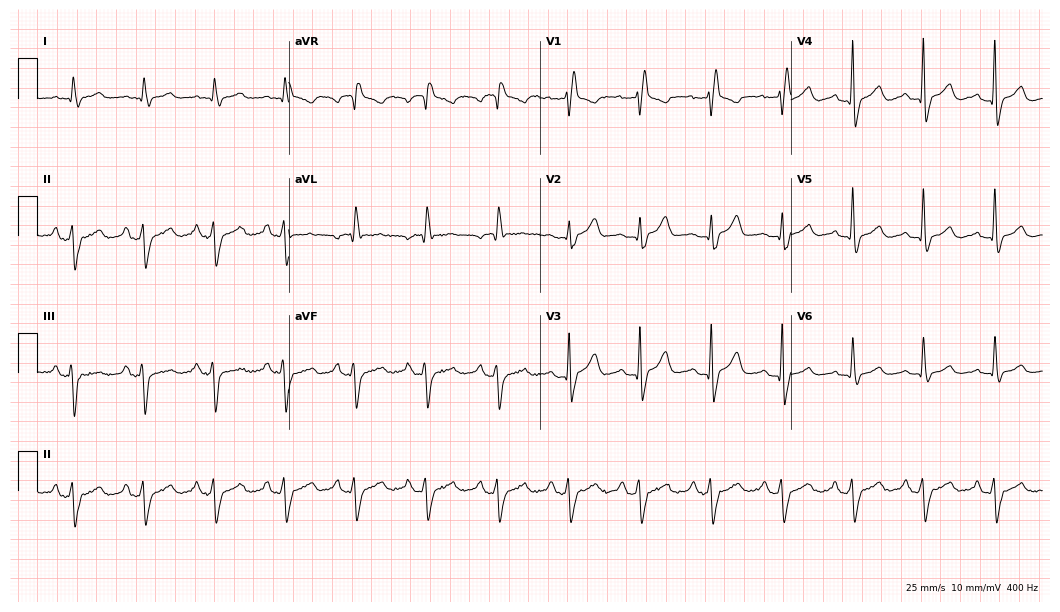
Electrocardiogram (10.2-second recording at 400 Hz), a male patient, 66 years old. Of the six screened findings (first-degree AV block, right bundle branch block (RBBB), left bundle branch block (LBBB), sinus bradycardia, atrial fibrillation (AF), sinus tachycardia), none is recorded.